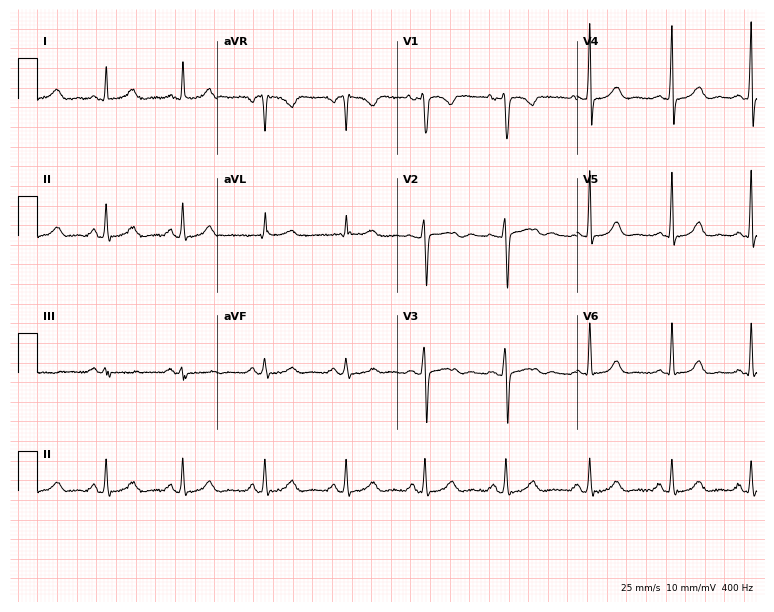
12-lead ECG from a 33-year-old woman. No first-degree AV block, right bundle branch block, left bundle branch block, sinus bradycardia, atrial fibrillation or sinus tachycardia recorded for this tracing. Only these six findings were labelled.